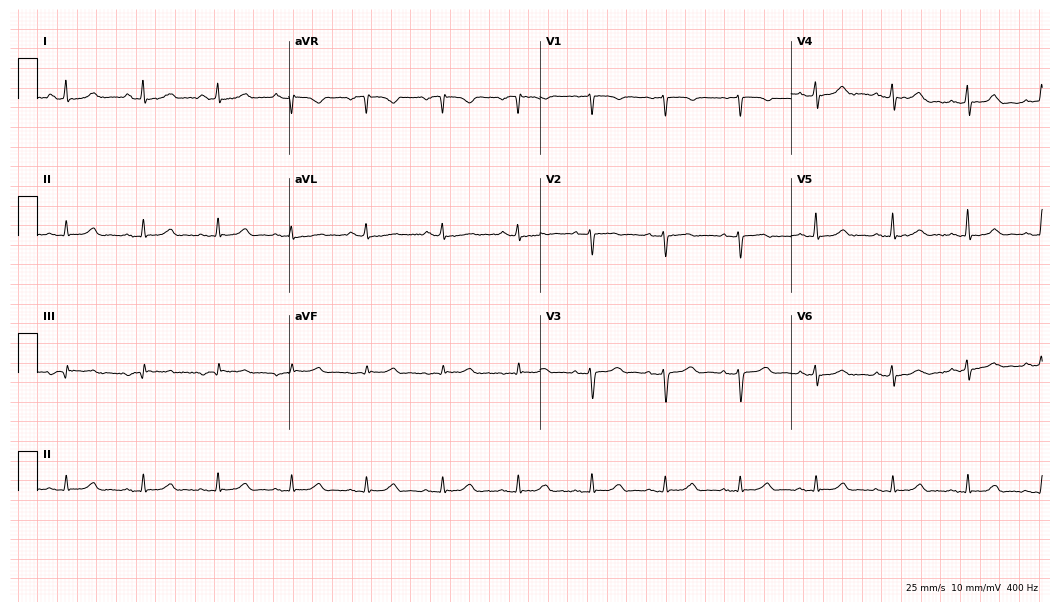
Electrocardiogram (10.2-second recording at 400 Hz), a man, 49 years old. Overall reading on record: normal ECG.